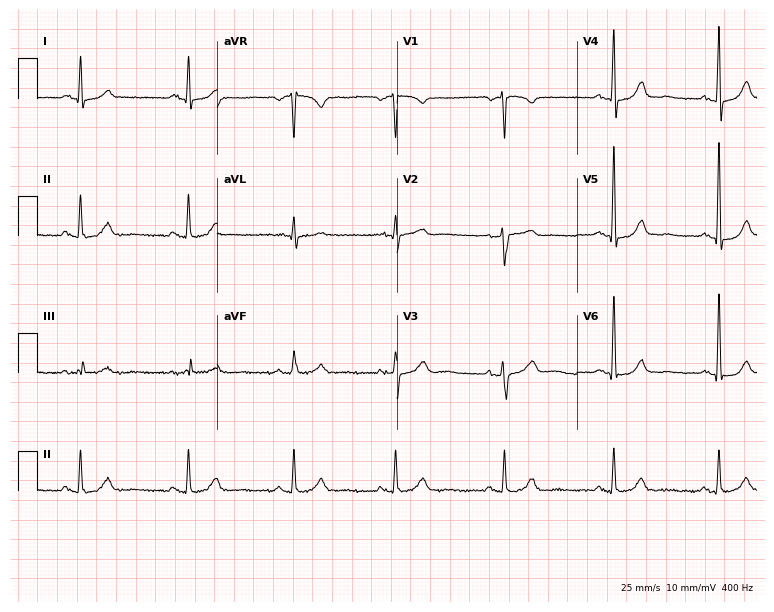
12-lead ECG (7.3-second recording at 400 Hz) from a female patient, 56 years old. Screened for six findings — first-degree AV block, right bundle branch block, left bundle branch block, sinus bradycardia, atrial fibrillation, sinus tachycardia — none is recorded. Only these six findings were labelled.